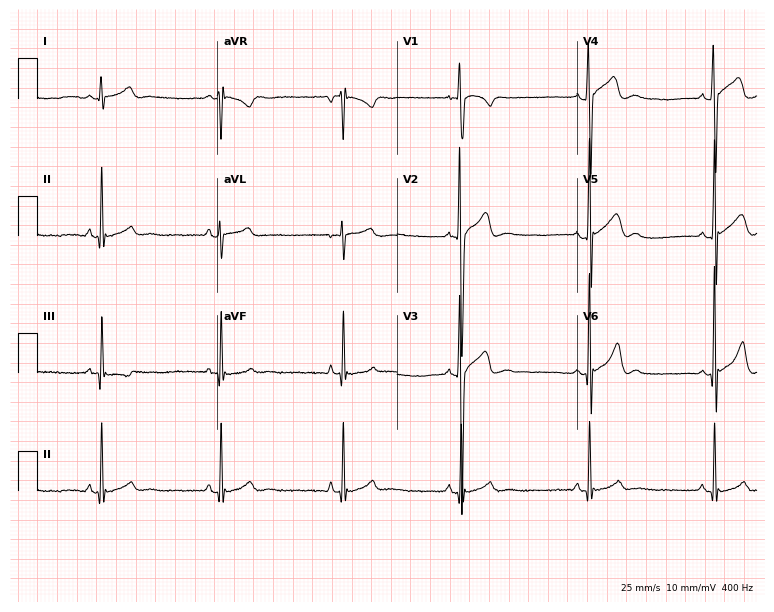
Resting 12-lead electrocardiogram (7.3-second recording at 400 Hz). Patient: a 17-year-old male. None of these six findings is recorded: first-degree AV block, right bundle branch block, left bundle branch block, sinus bradycardia, atrial fibrillation, sinus tachycardia. Other findings, if any, are not listed.